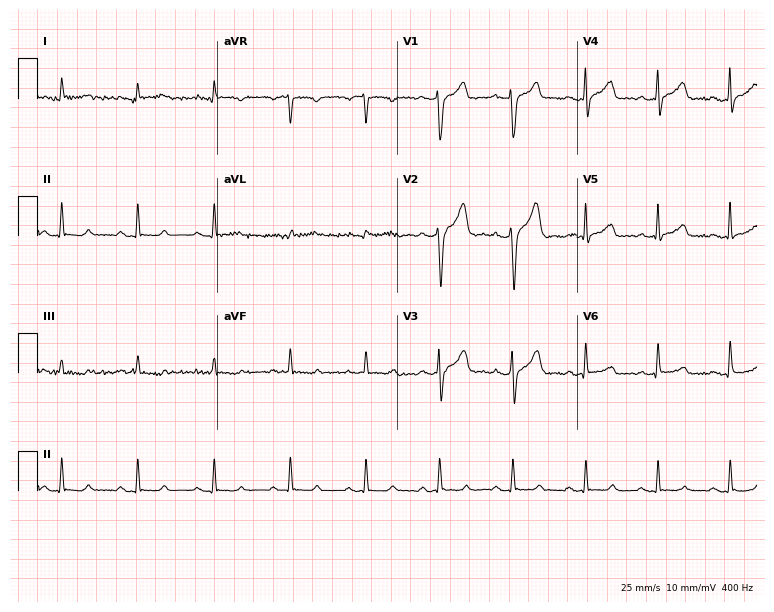
Resting 12-lead electrocardiogram (7.3-second recording at 400 Hz). Patient: a man, 56 years old. None of these six findings is recorded: first-degree AV block, right bundle branch block, left bundle branch block, sinus bradycardia, atrial fibrillation, sinus tachycardia. Only these six findings were labelled.